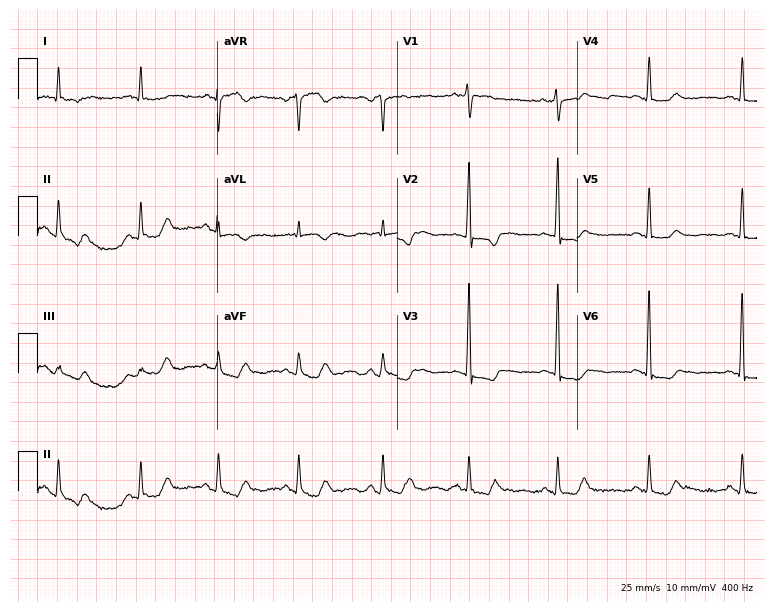
Electrocardiogram, a female, 53 years old. Of the six screened findings (first-degree AV block, right bundle branch block, left bundle branch block, sinus bradycardia, atrial fibrillation, sinus tachycardia), none is recorded. Other findings, if any, are not listed.